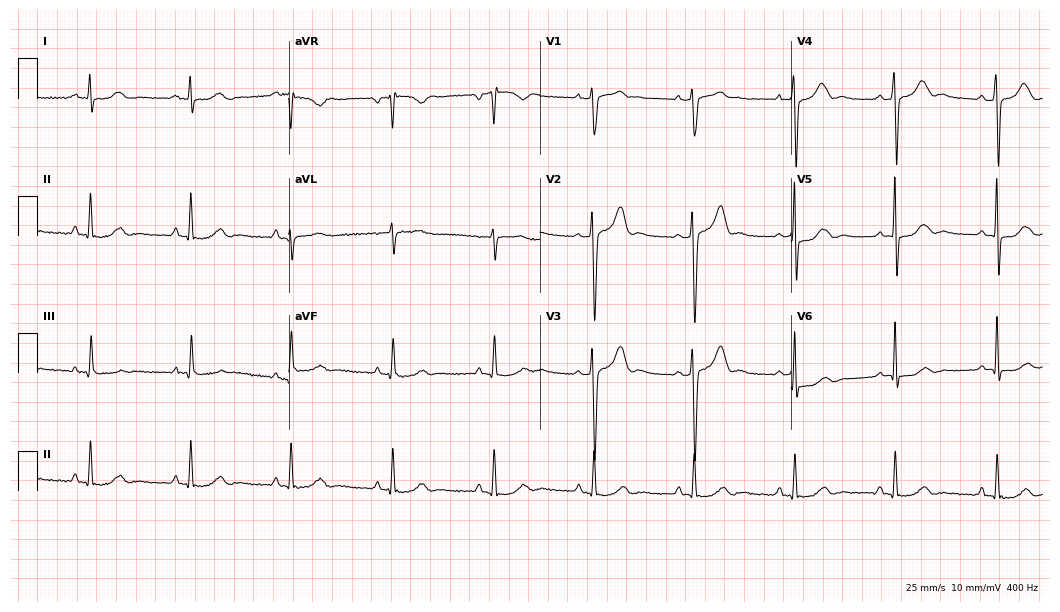
12-lead ECG (10.2-second recording at 400 Hz) from a male, 49 years old. Screened for six findings — first-degree AV block, right bundle branch block, left bundle branch block, sinus bradycardia, atrial fibrillation, sinus tachycardia — none is recorded.